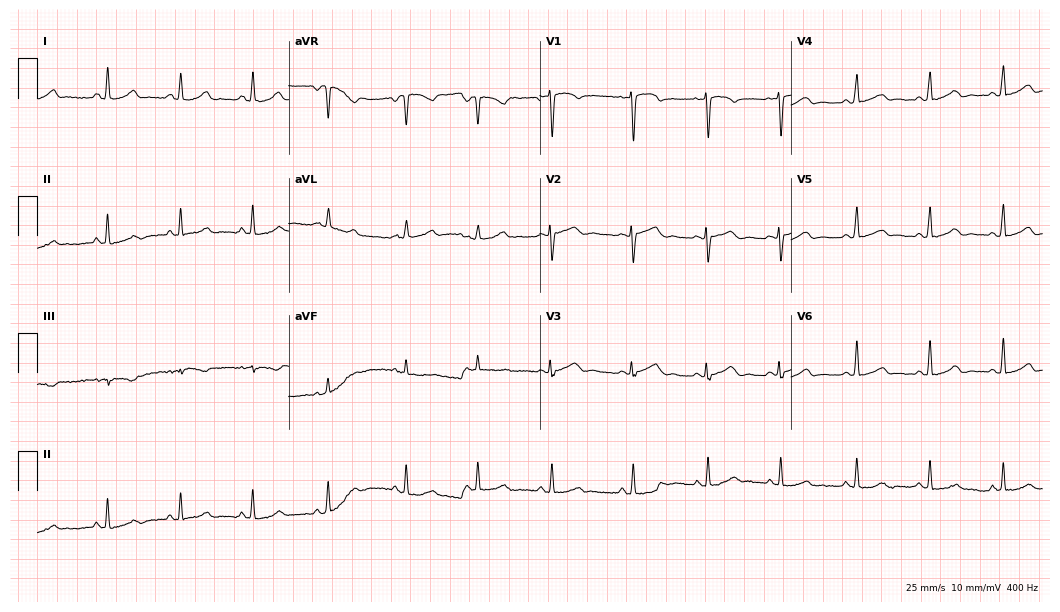
Electrocardiogram (10.2-second recording at 400 Hz), a 35-year-old woman. Overall reading on record: normal ECG.